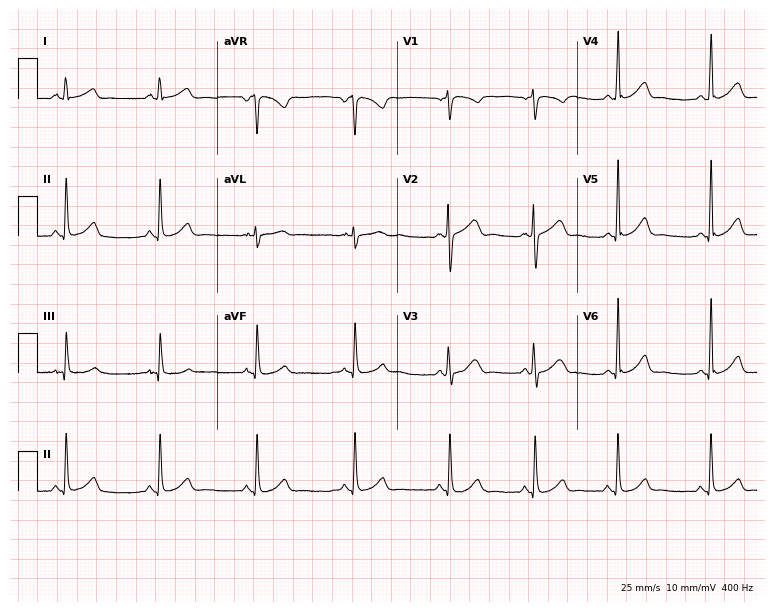
12-lead ECG from a female patient, 20 years old. Recorded interpretation: within normal limits.